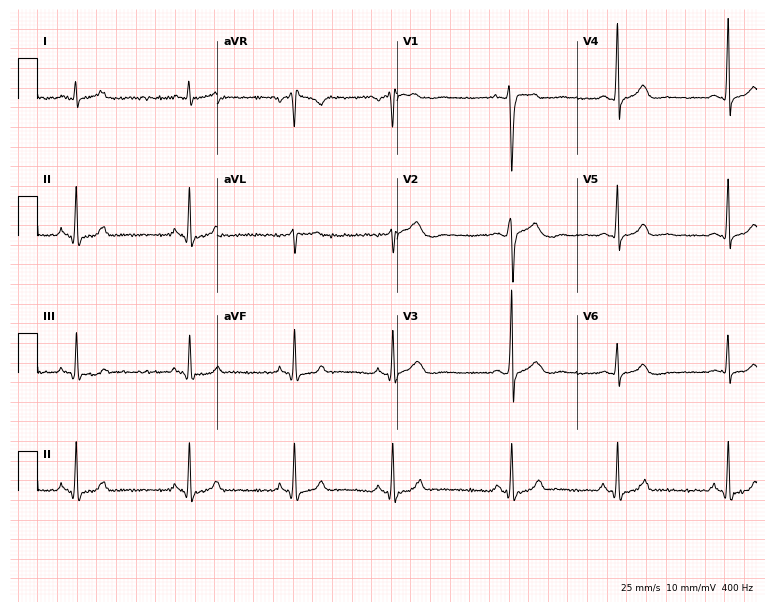
Resting 12-lead electrocardiogram (7.3-second recording at 400 Hz). Patient: a 20-year-old male. None of these six findings is recorded: first-degree AV block, right bundle branch block, left bundle branch block, sinus bradycardia, atrial fibrillation, sinus tachycardia. Other findings, if any, are not listed.